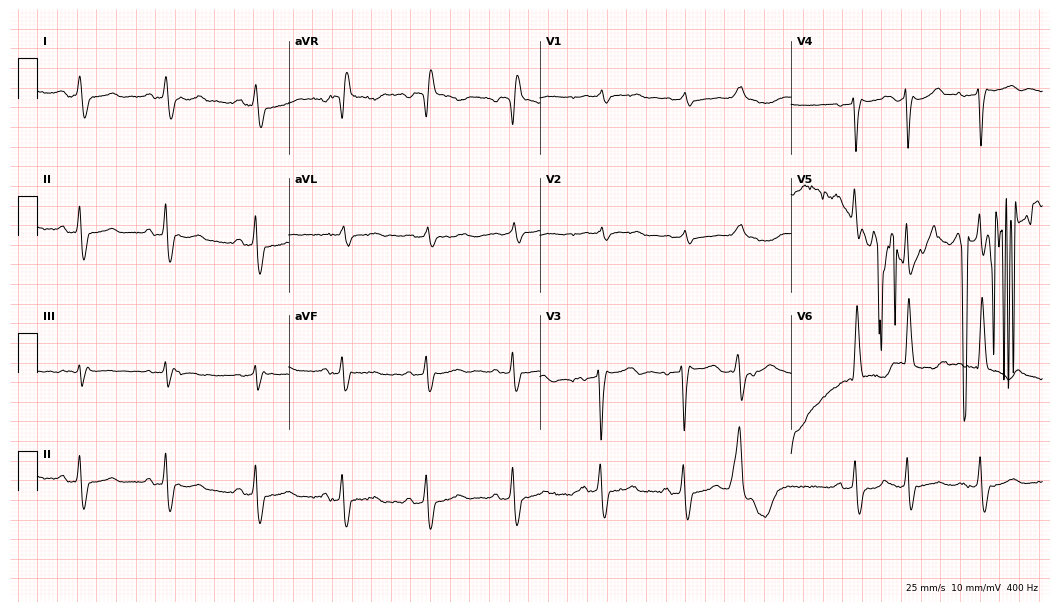
12-lead ECG from a female, 84 years old. No first-degree AV block, right bundle branch block, left bundle branch block, sinus bradycardia, atrial fibrillation or sinus tachycardia recorded for this tracing. Other findings, if any, are not listed.